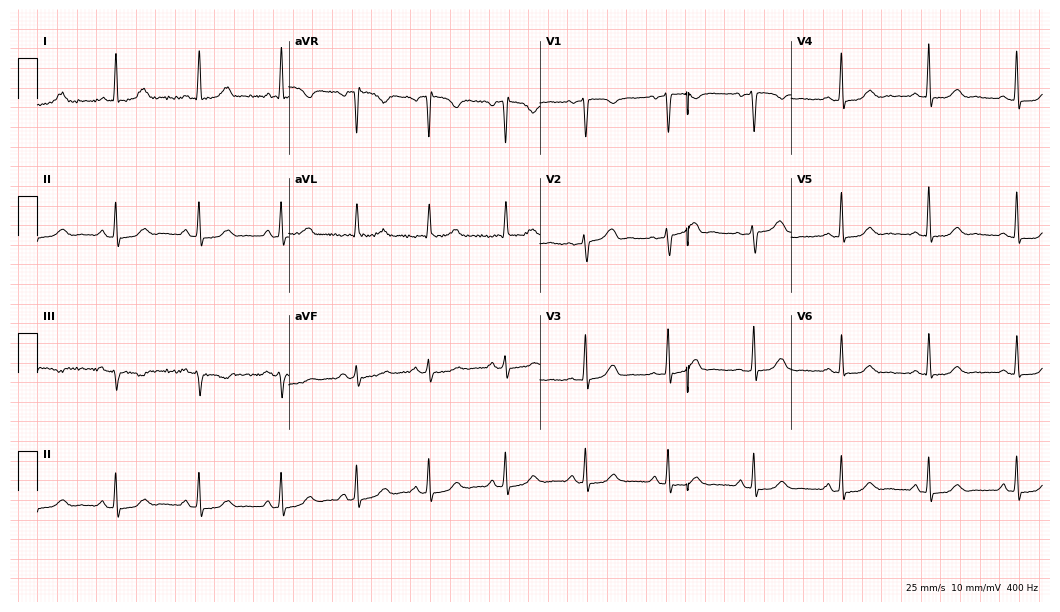
Electrocardiogram, a 60-year-old female patient. Of the six screened findings (first-degree AV block, right bundle branch block (RBBB), left bundle branch block (LBBB), sinus bradycardia, atrial fibrillation (AF), sinus tachycardia), none is recorded. Only these six findings were labelled.